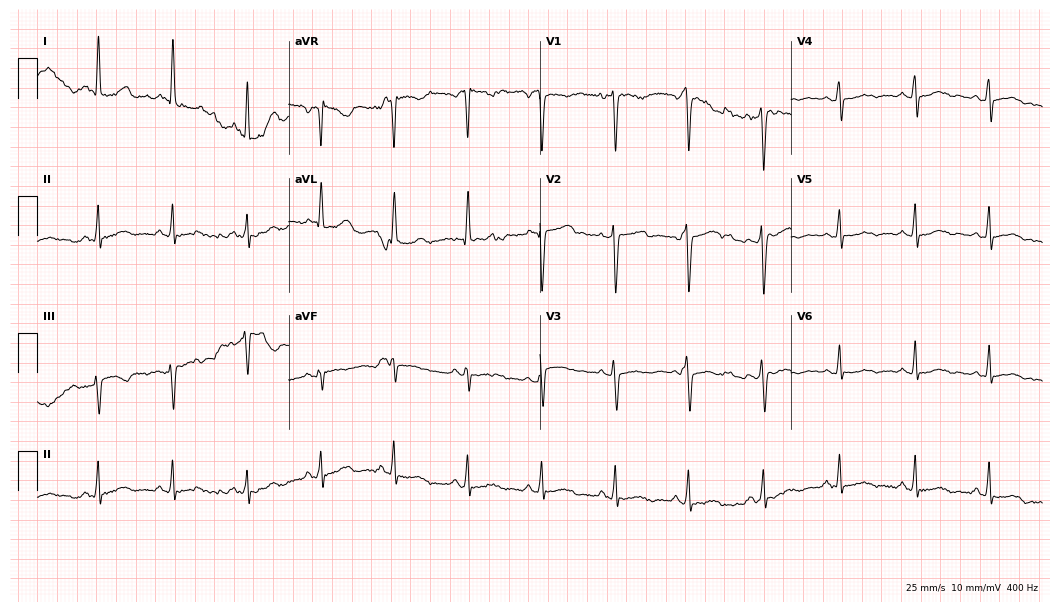
Standard 12-lead ECG recorded from a female, 37 years old (10.2-second recording at 400 Hz). None of these six findings is recorded: first-degree AV block, right bundle branch block (RBBB), left bundle branch block (LBBB), sinus bradycardia, atrial fibrillation (AF), sinus tachycardia. Other findings, if any, are not listed.